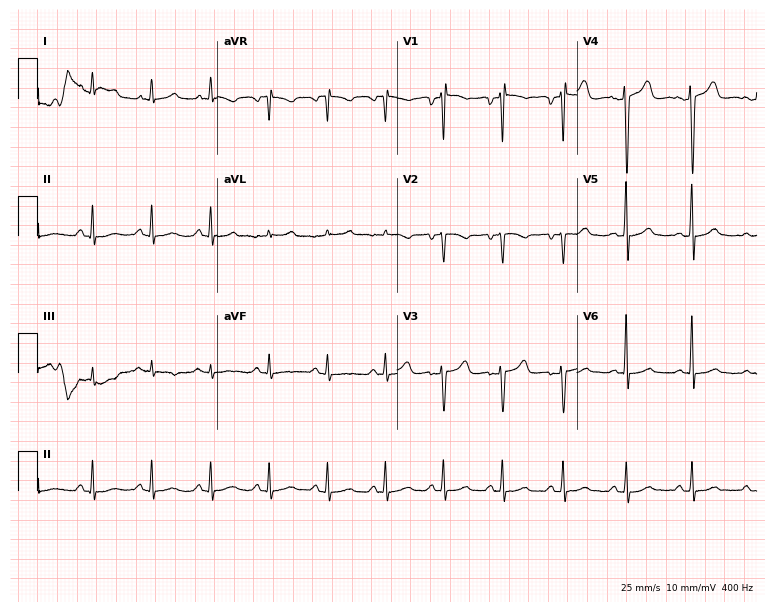
Standard 12-lead ECG recorded from a 34-year-old female. Read as a normal ECG.